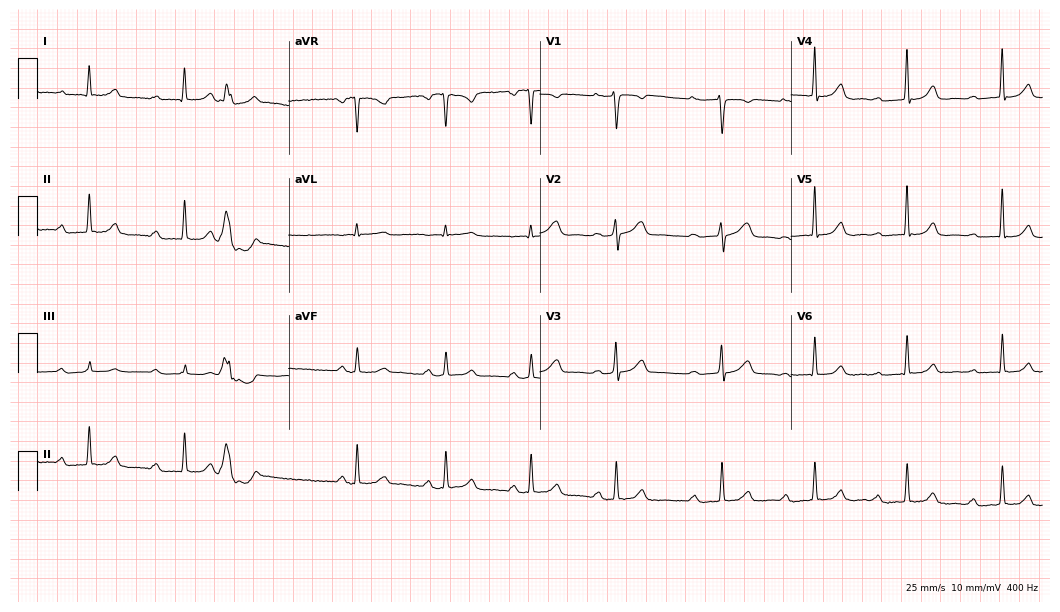
Standard 12-lead ECG recorded from a female patient, 36 years old. None of these six findings is recorded: first-degree AV block, right bundle branch block, left bundle branch block, sinus bradycardia, atrial fibrillation, sinus tachycardia.